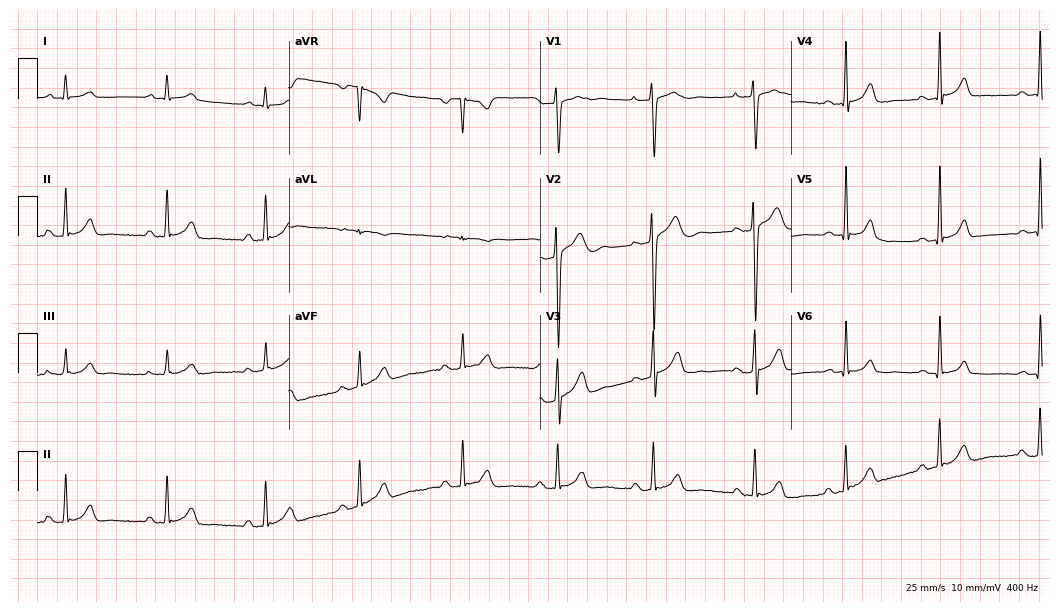
Resting 12-lead electrocardiogram (10.2-second recording at 400 Hz). Patient: a 19-year-old male. Read as a normal ECG.